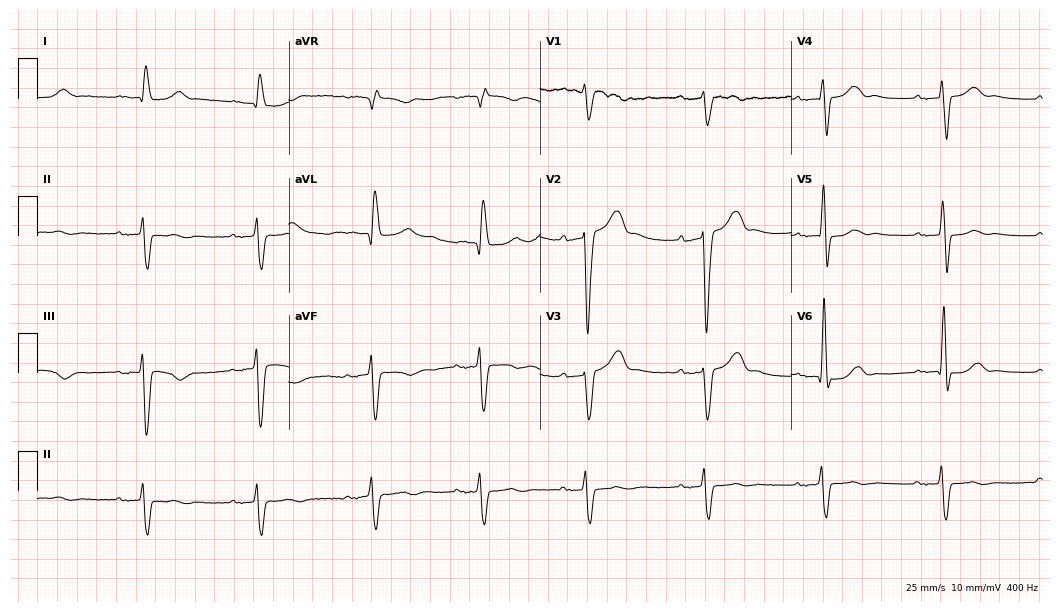
12-lead ECG from a male, 84 years old (10.2-second recording at 400 Hz). Shows first-degree AV block, left bundle branch block (LBBB).